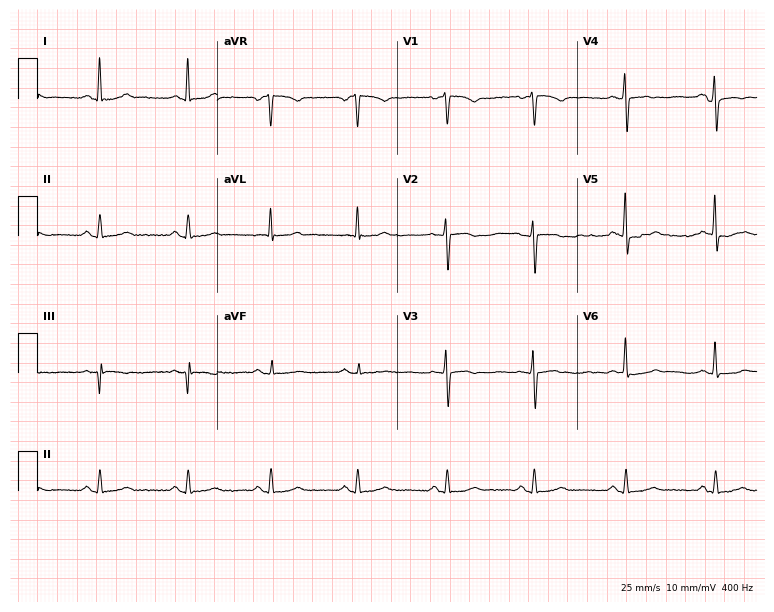
ECG (7.3-second recording at 400 Hz) — a 51-year-old woman. Labelled as a normal ECG.